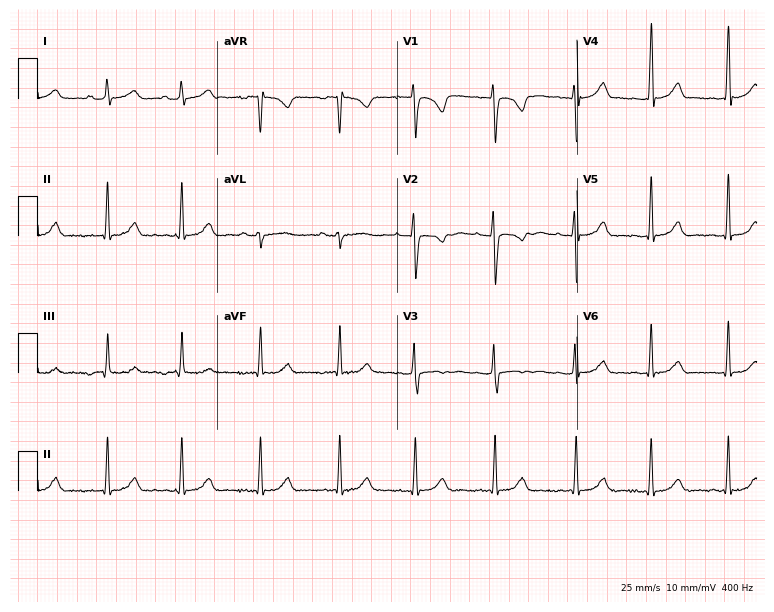
ECG (7.3-second recording at 400 Hz) — an 18-year-old female patient. Screened for six findings — first-degree AV block, right bundle branch block (RBBB), left bundle branch block (LBBB), sinus bradycardia, atrial fibrillation (AF), sinus tachycardia — none is recorded.